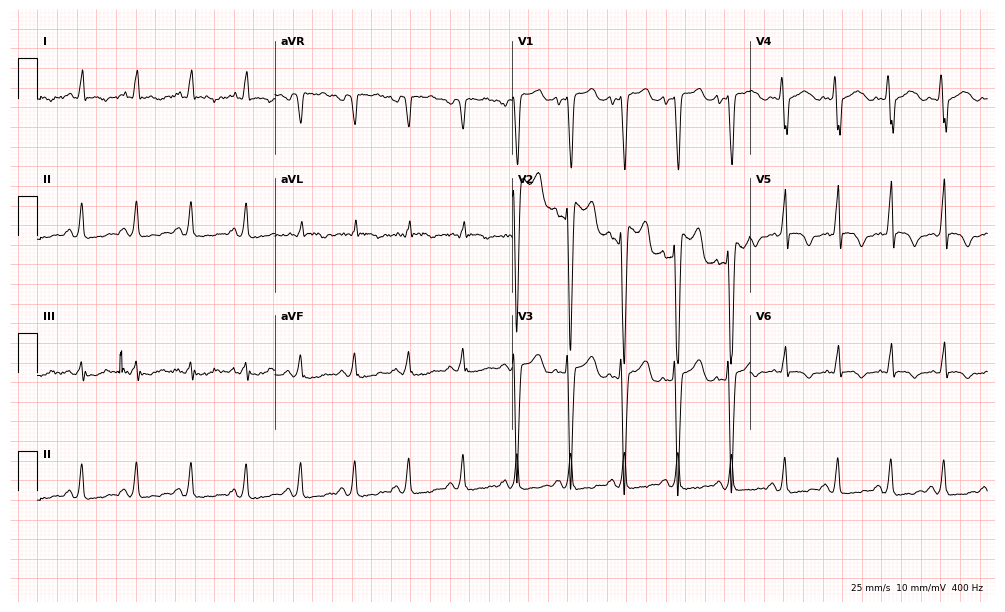
Resting 12-lead electrocardiogram (9.7-second recording at 400 Hz). Patient: a man, 40 years old. None of these six findings is recorded: first-degree AV block, right bundle branch block, left bundle branch block, sinus bradycardia, atrial fibrillation, sinus tachycardia.